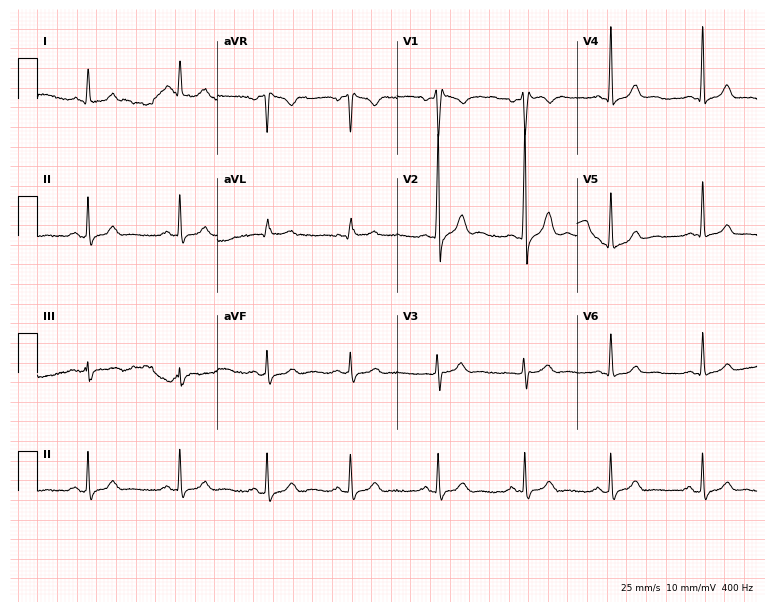
Standard 12-lead ECG recorded from a 34-year-old male (7.3-second recording at 400 Hz). None of these six findings is recorded: first-degree AV block, right bundle branch block, left bundle branch block, sinus bradycardia, atrial fibrillation, sinus tachycardia.